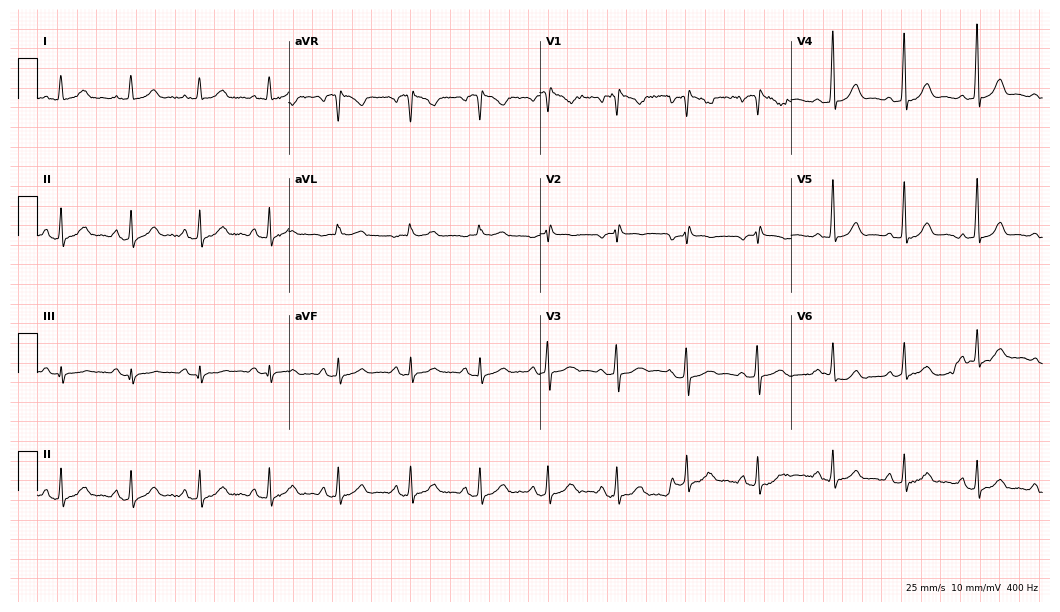
12-lead ECG from a 49-year-old female (10.2-second recording at 400 Hz). No first-degree AV block, right bundle branch block, left bundle branch block, sinus bradycardia, atrial fibrillation or sinus tachycardia recorded for this tracing.